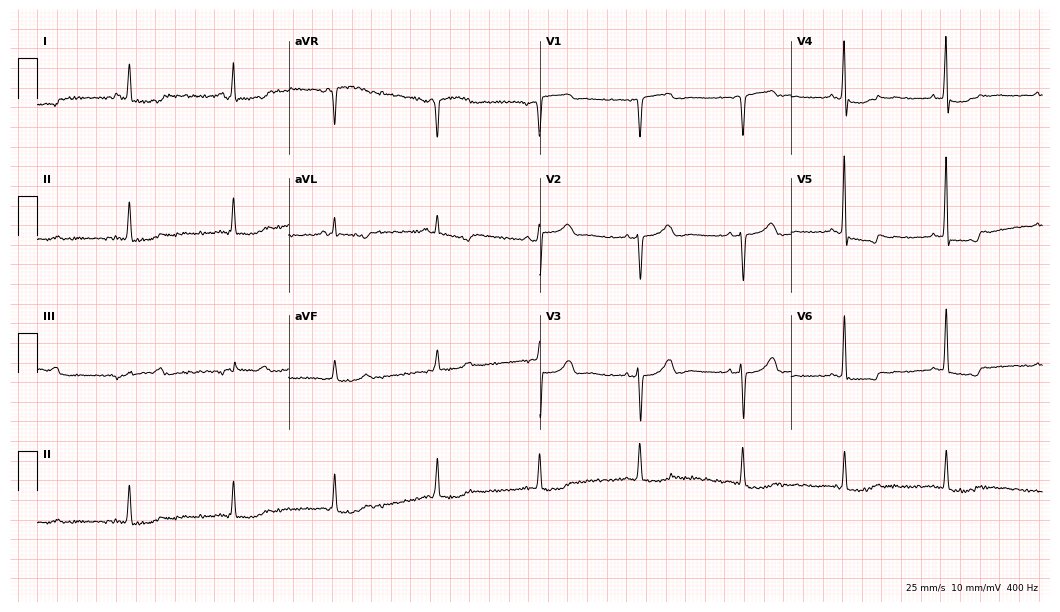
ECG (10.2-second recording at 400 Hz) — a man, 76 years old. Screened for six findings — first-degree AV block, right bundle branch block (RBBB), left bundle branch block (LBBB), sinus bradycardia, atrial fibrillation (AF), sinus tachycardia — none is recorded.